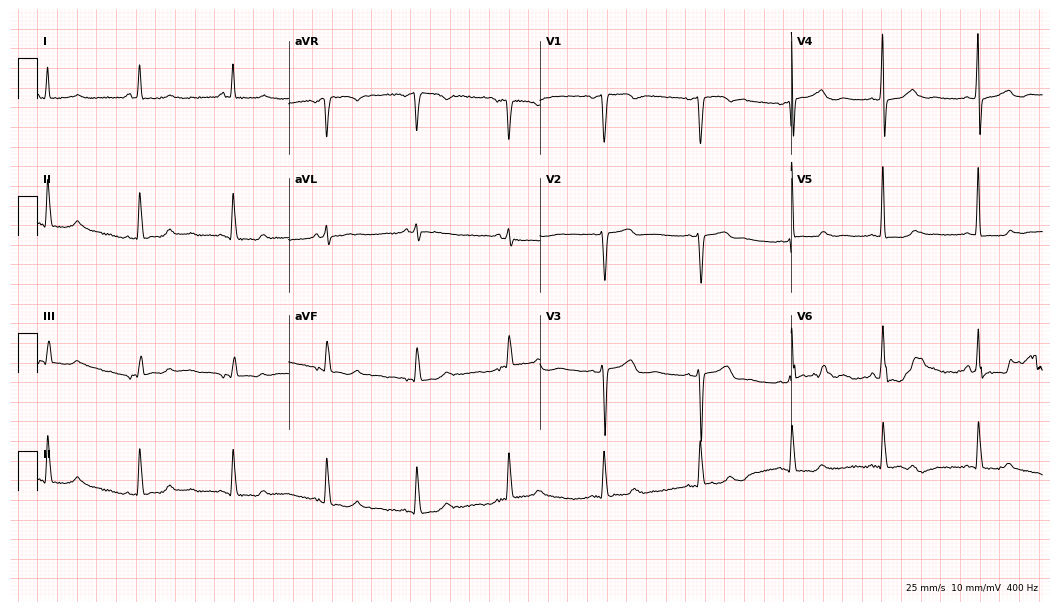
Standard 12-lead ECG recorded from a 52-year-old woman. None of these six findings is recorded: first-degree AV block, right bundle branch block, left bundle branch block, sinus bradycardia, atrial fibrillation, sinus tachycardia. Findings outside these six are not listed.